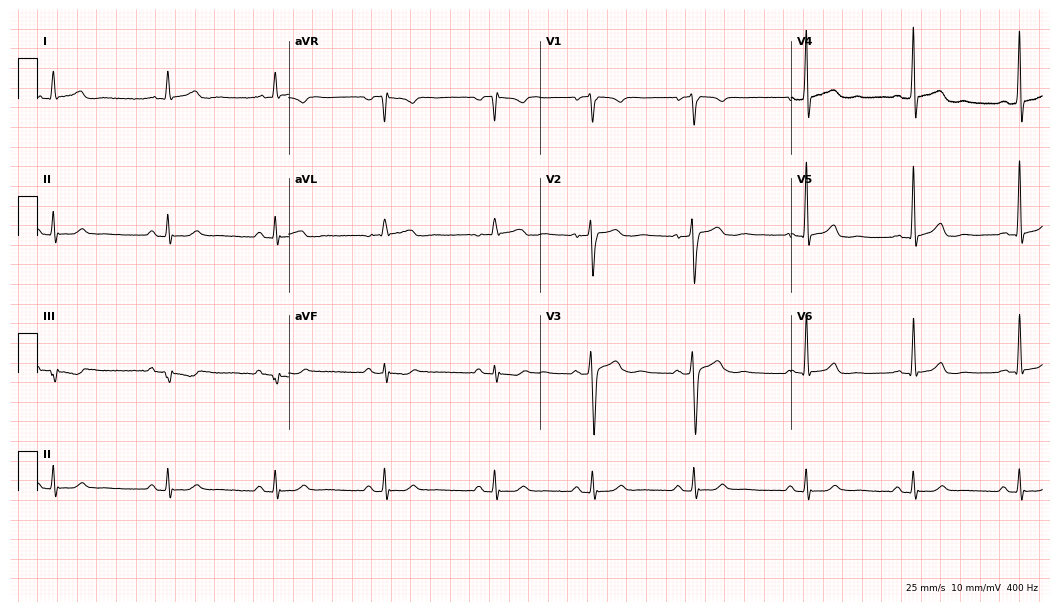
Standard 12-lead ECG recorded from a male patient, 27 years old. Read as a normal ECG.